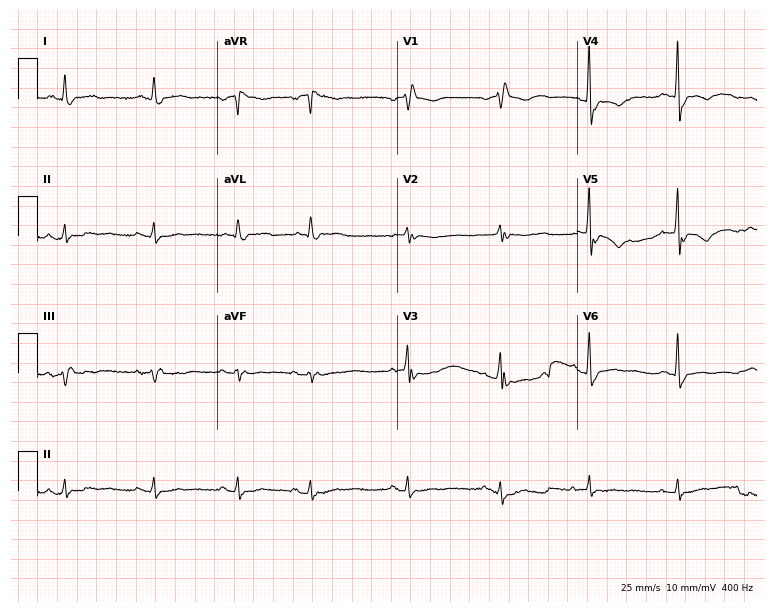
12-lead ECG (7.3-second recording at 400 Hz) from an 85-year-old male patient. Findings include right bundle branch block.